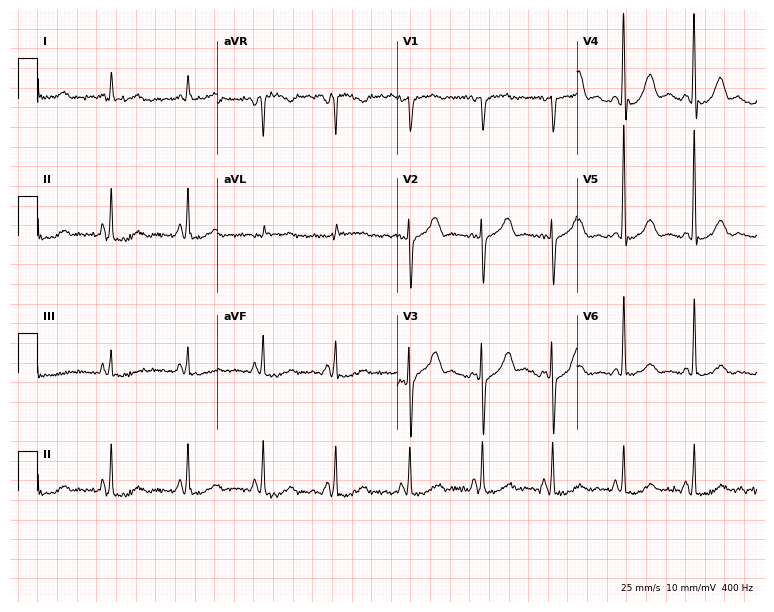
12-lead ECG from a 45-year-old woman. Recorded interpretation: within normal limits.